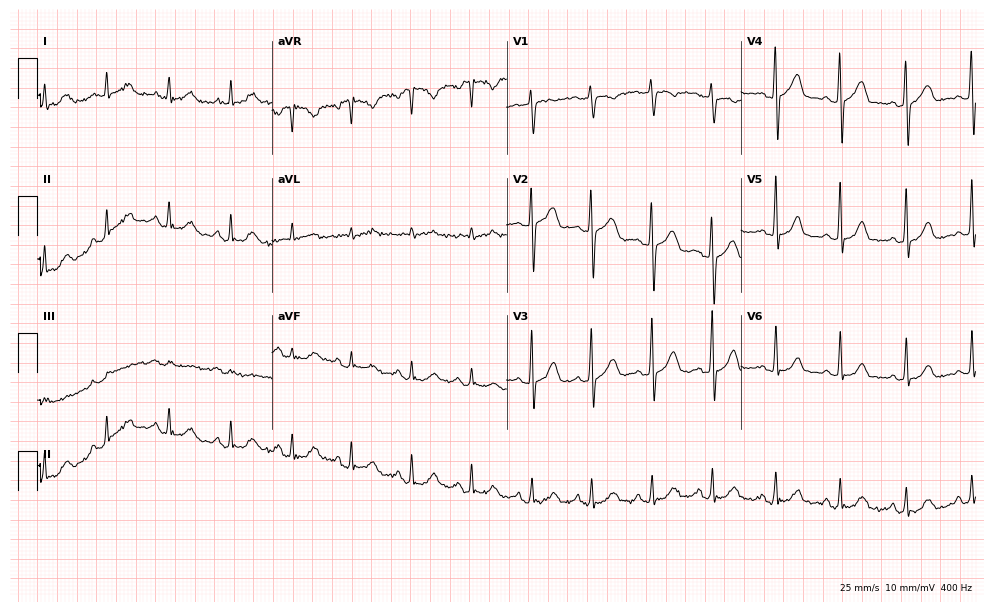
ECG — a woman, 52 years old. Labelled as a normal ECG.